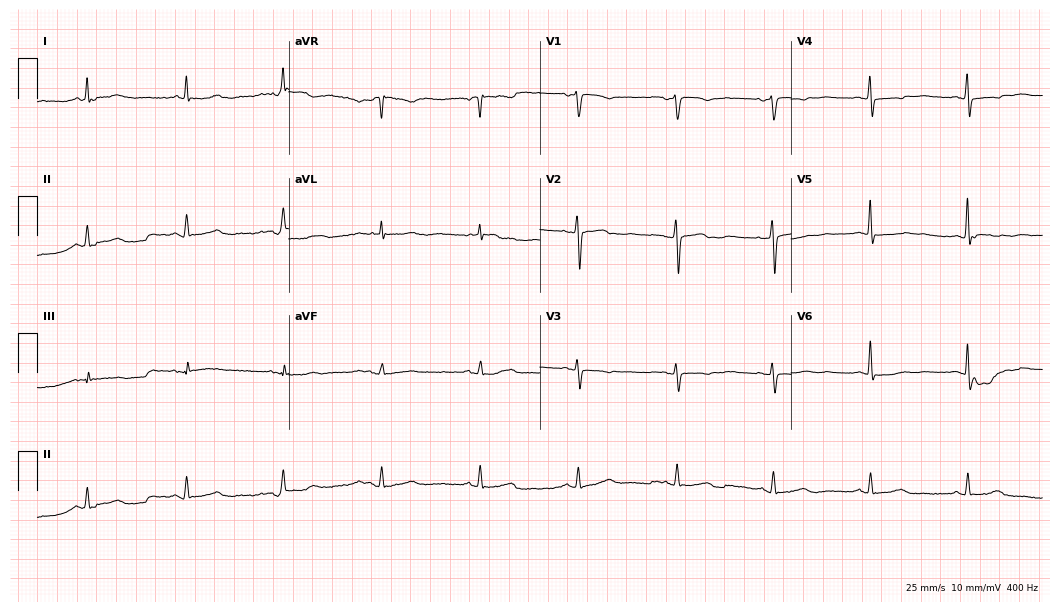
12-lead ECG from a 67-year-old woman. No first-degree AV block, right bundle branch block, left bundle branch block, sinus bradycardia, atrial fibrillation or sinus tachycardia recorded for this tracing.